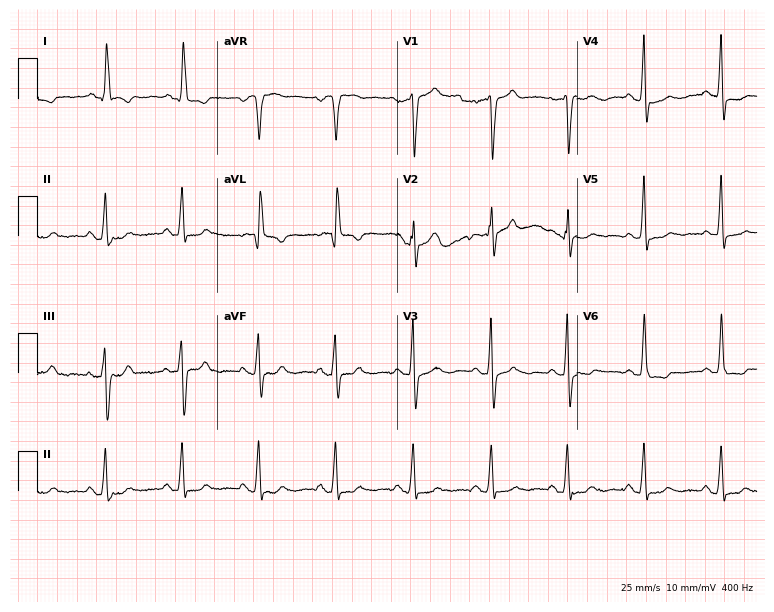
12-lead ECG from a female, 77 years old. Screened for six findings — first-degree AV block, right bundle branch block, left bundle branch block, sinus bradycardia, atrial fibrillation, sinus tachycardia — none is recorded. Only these six findings were labelled.